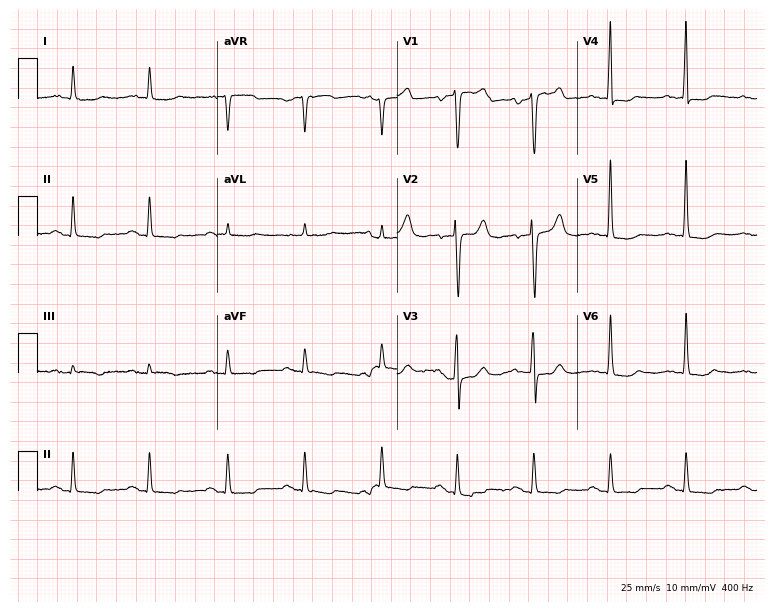
Resting 12-lead electrocardiogram. Patient: a female, 73 years old. None of these six findings is recorded: first-degree AV block, right bundle branch block, left bundle branch block, sinus bradycardia, atrial fibrillation, sinus tachycardia. Findings outside these six are not listed.